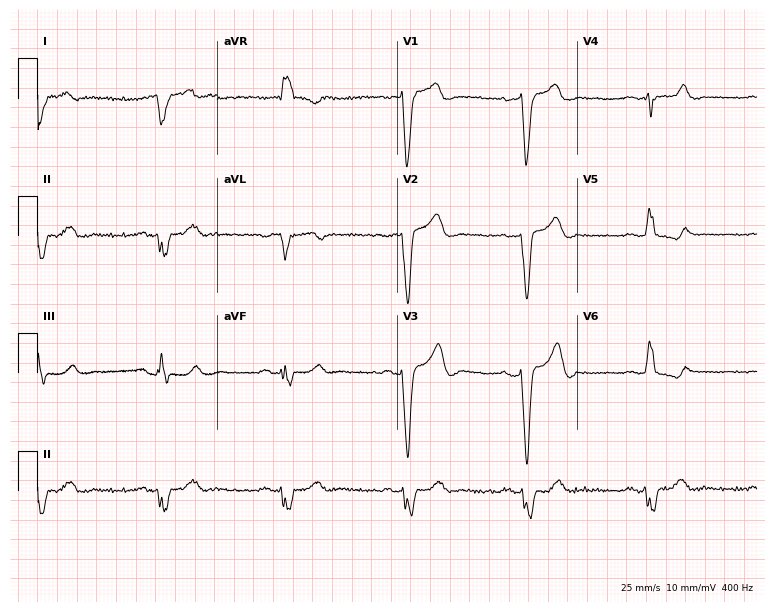
ECG (7.3-second recording at 400 Hz) — a female, 81 years old. Findings include left bundle branch block, sinus bradycardia (a sinus rate of 50 beats per minute or less).